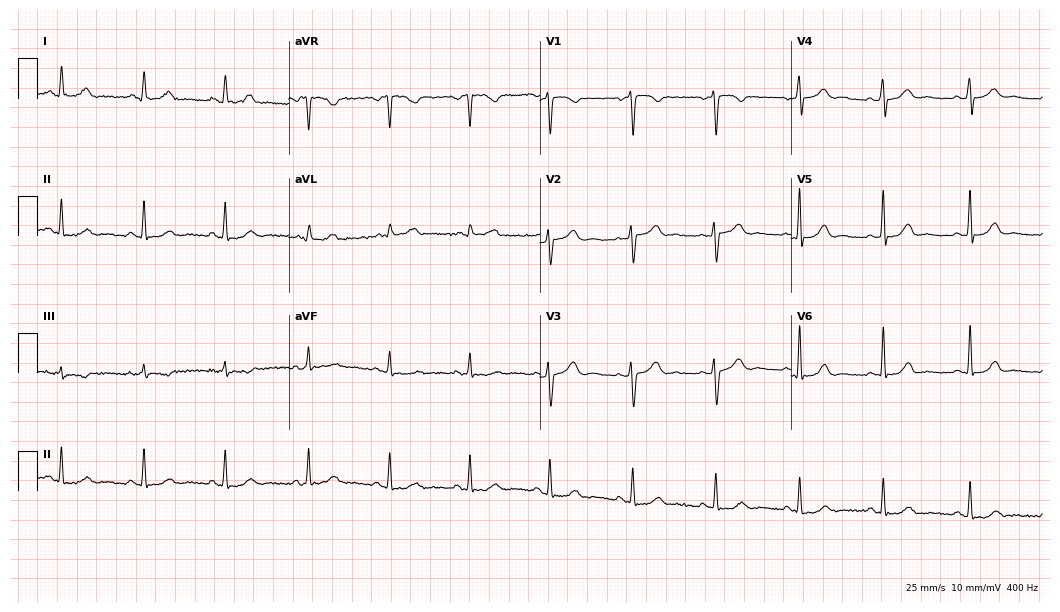
12-lead ECG from a female patient, 38 years old (10.2-second recording at 400 Hz). No first-degree AV block, right bundle branch block (RBBB), left bundle branch block (LBBB), sinus bradycardia, atrial fibrillation (AF) or sinus tachycardia recorded for this tracing. Only these six findings were labelled.